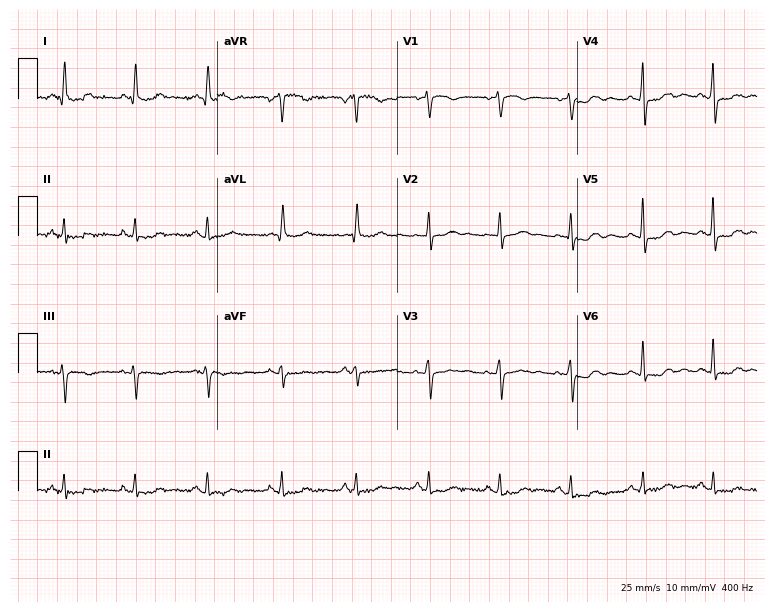
Standard 12-lead ECG recorded from a 55-year-old female patient. None of these six findings is recorded: first-degree AV block, right bundle branch block, left bundle branch block, sinus bradycardia, atrial fibrillation, sinus tachycardia.